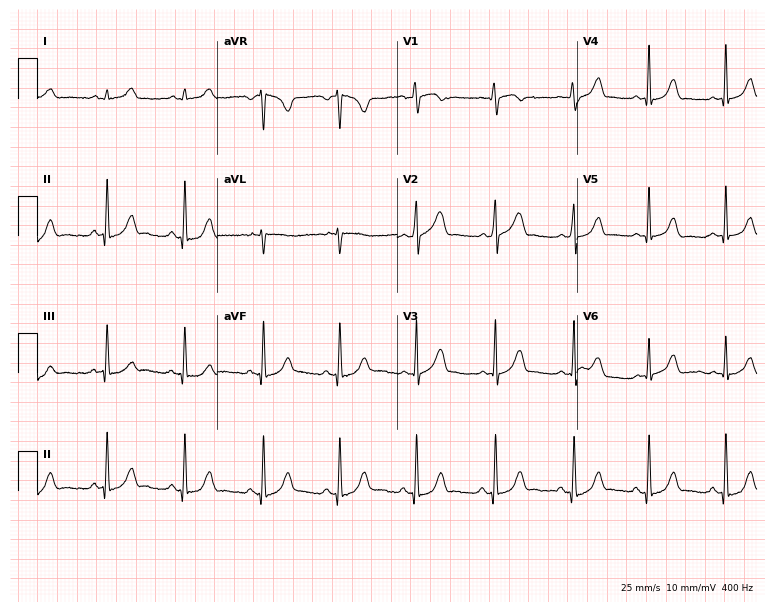
Electrocardiogram, a woman, 25 years old. Overall reading on record: normal ECG.